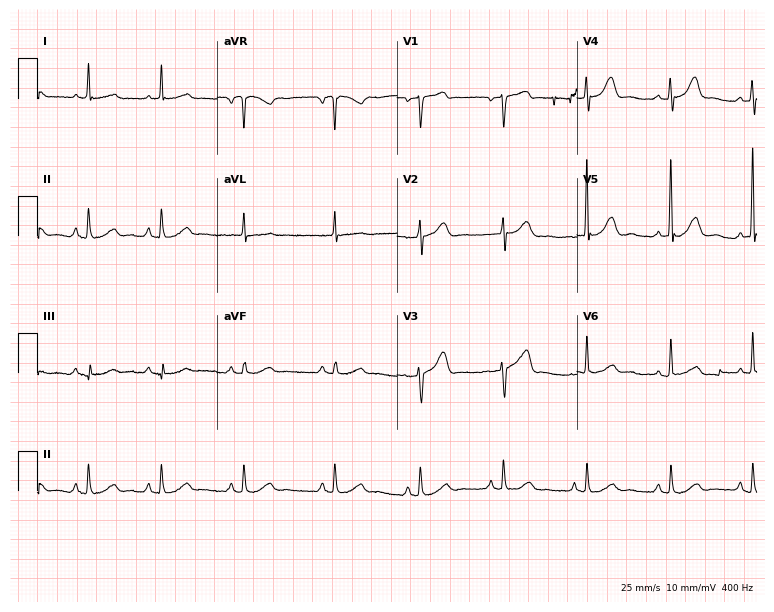
Standard 12-lead ECG recorded from a 73-year-old female. Read as a normal ECG.